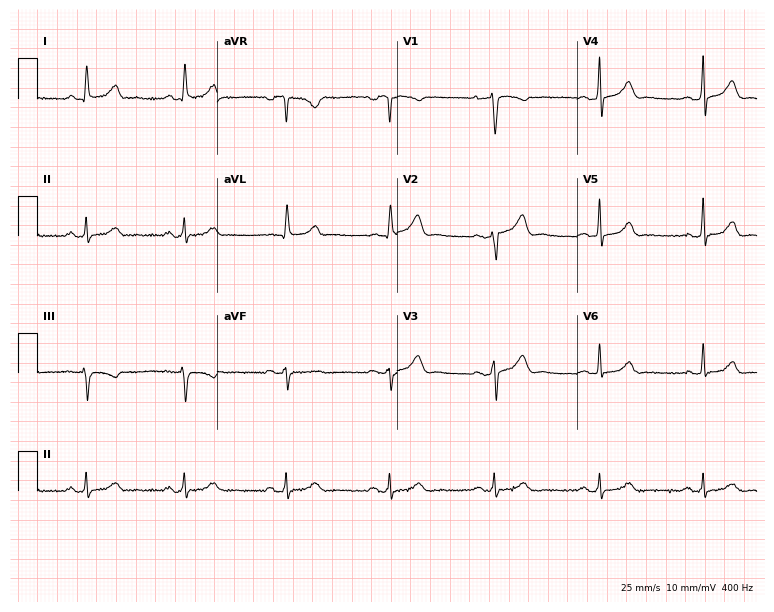
Electrocardiogram (7.3-second recording at 400 Hz), a female, 42 years old. Of the six screened findings (first-degree AV block, right bundle branch block, left bundle branch block, sinus bradycardia, atrial fibrillation, sinus tachycardia), none is recorded.